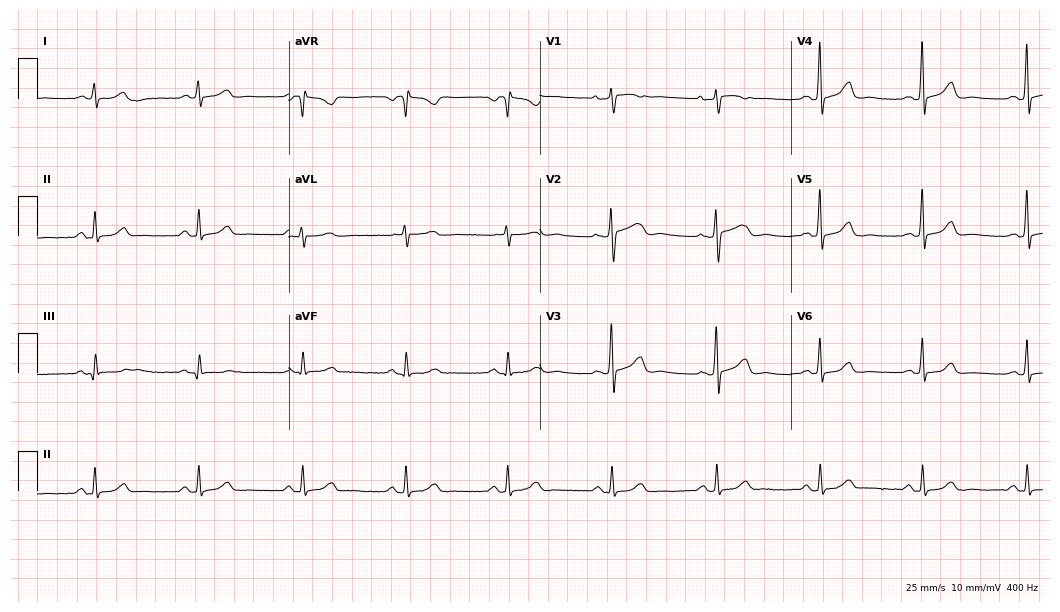
Standard 12-lead ECG recorded from a 56-year-old female patient (10.2-second recording at 400 Hz). None of these six findings is recorded: first-degree AV block, right bundle branch block, left bundle branch block, sinus bradycardia, atrial fibrillation, sinus tachycardia. Findings outside these six are not listed.